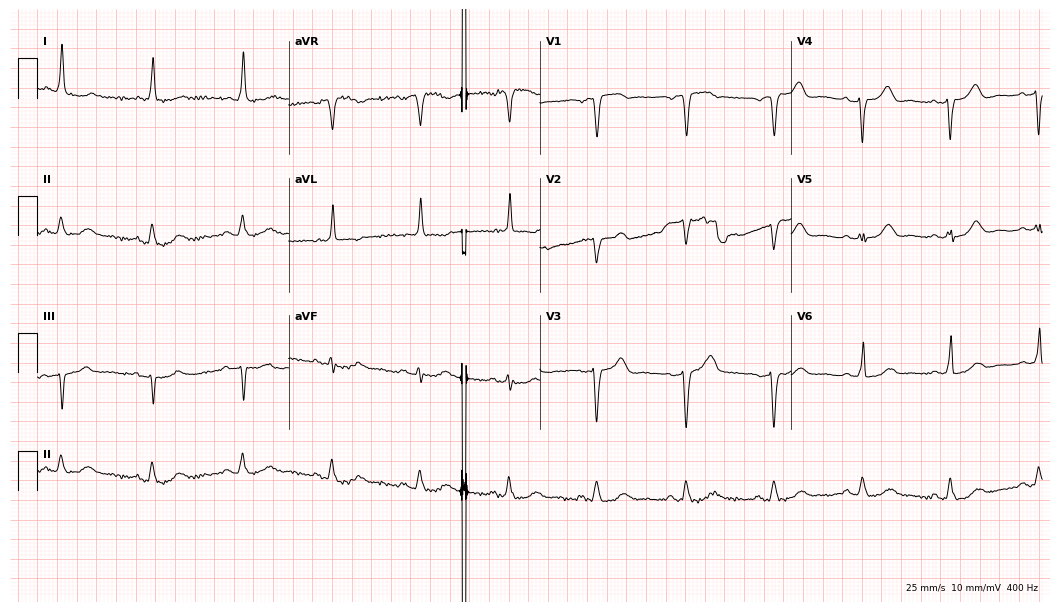
Resting 12-lead electrocardiogram (10.2-second recording at 400 Hz). Patient: a female, 64 years old. None of these six findings is recorded: first-degree AV block, right bundle branch block, left bundle branch block, sinus bradycardia, atrial fibrillation, sinus tachycardia.